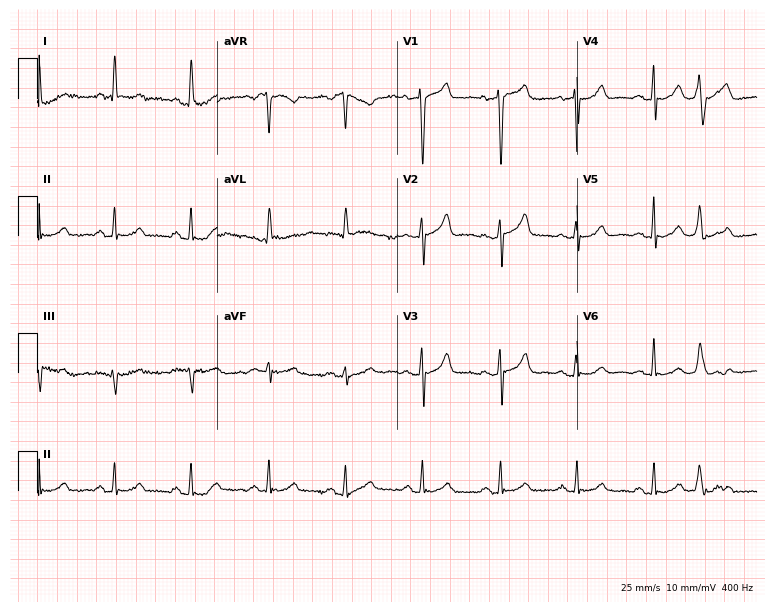
Standard 12-lead ECG recorded from a 64-year-old female patient (7.3-second recording at 400 Hz). Read as a normal ECG.